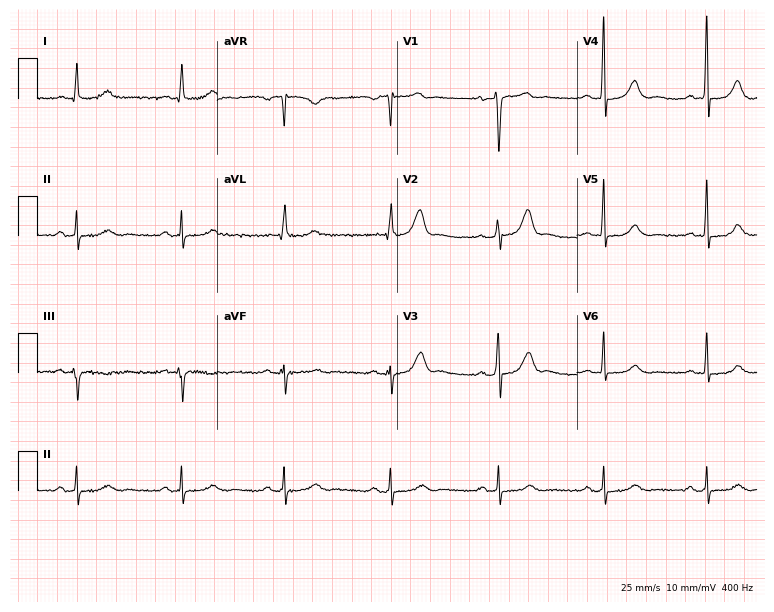
ECG (7.3-second recording at 400 Hz) — a 71-year-old man. Labelled as a normal ECG.